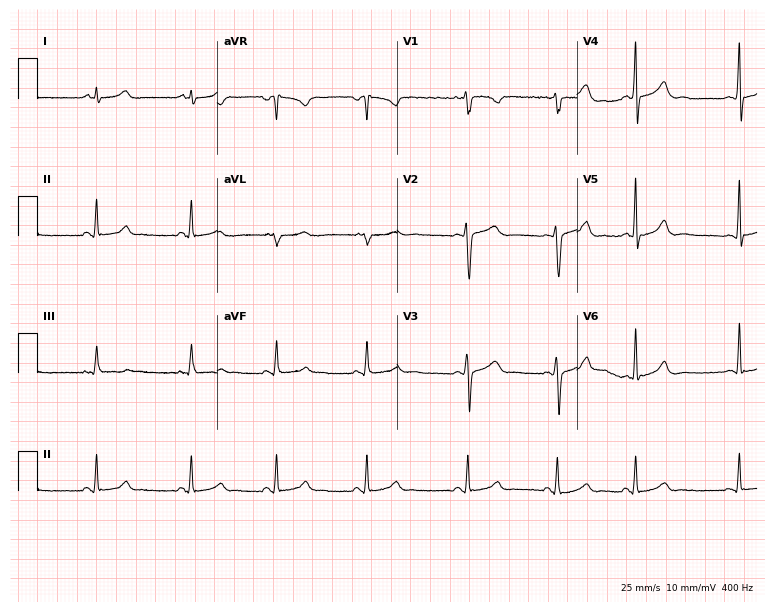
Standard 12-lead ECG recorded from a 22-year-old female patient (7.3-second recording at 400 Hz). Read as a normal ECG.